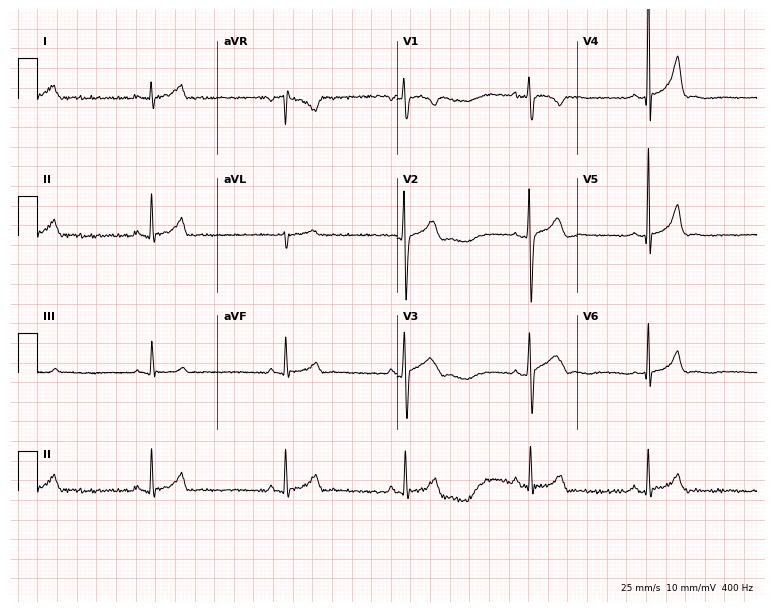
Standard 12-lead ECG recorded from a female patient, 19 years old (7.3-second recording at 400 Hz). The tracing shows sinus bradycardia (a sinus rate of 50 beats per minute or less).